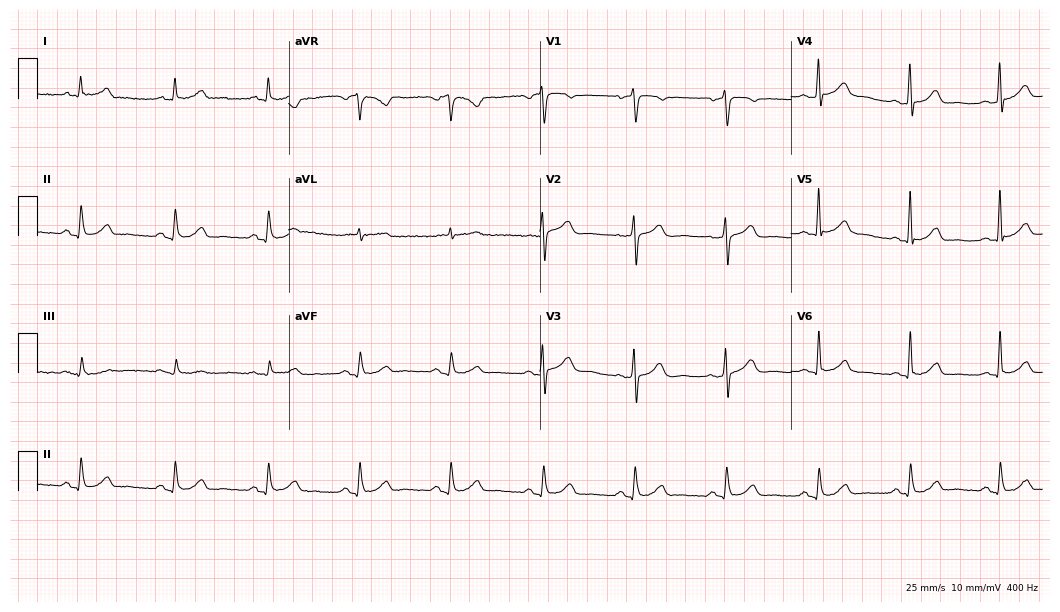
Standard 12-lead ECG recorded from a 76-year-old male patient. None of these six findings is recorded: first-degree AV block, right bundle branch block (RBBB), left bundle branch block (LBBB), sinus bradycardia, atrial fibrillation (AF), sinus tachycardia.